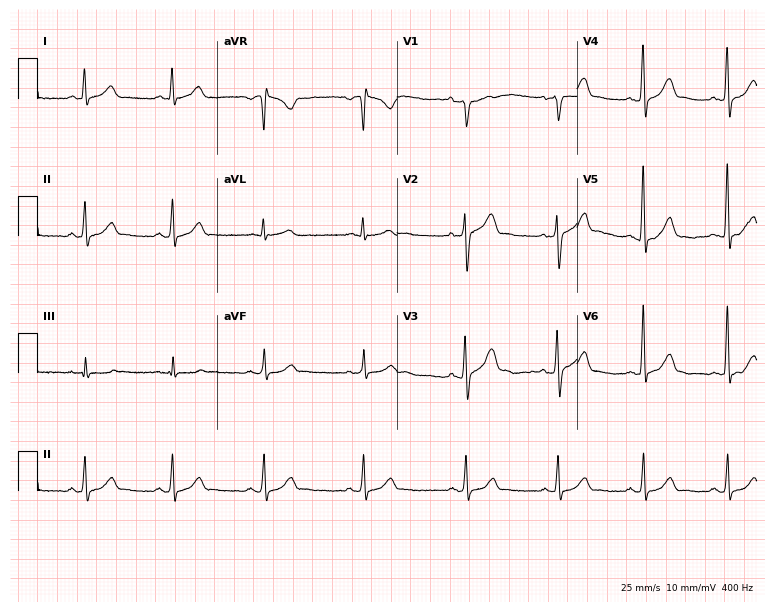
Electrocardiogram (7.3-second recording at 400 Hz), a male, 34 years old. Overall reading on record: normal ECG.